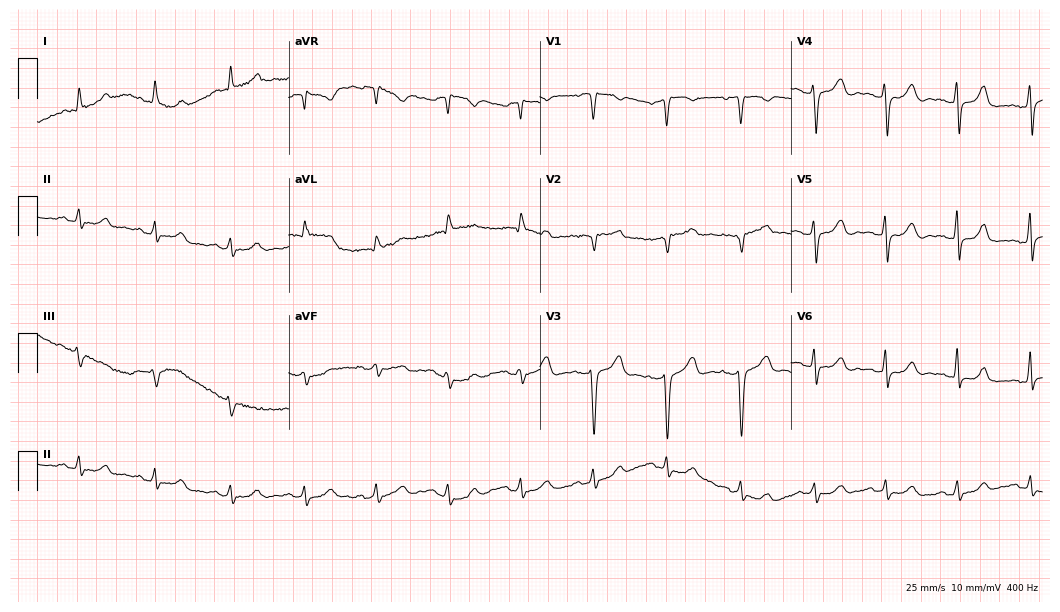
Electrocardiogram (10.2-second recording at 400 Hz), a female patient, 51 years old. Of the six screened findings (first-degree AV block, right bundle branch block (RBBB), left bundle branch block (LBBB), sinus bradycardia, atrial fibrillation (AF), sinus tachycardia), none is recorded.